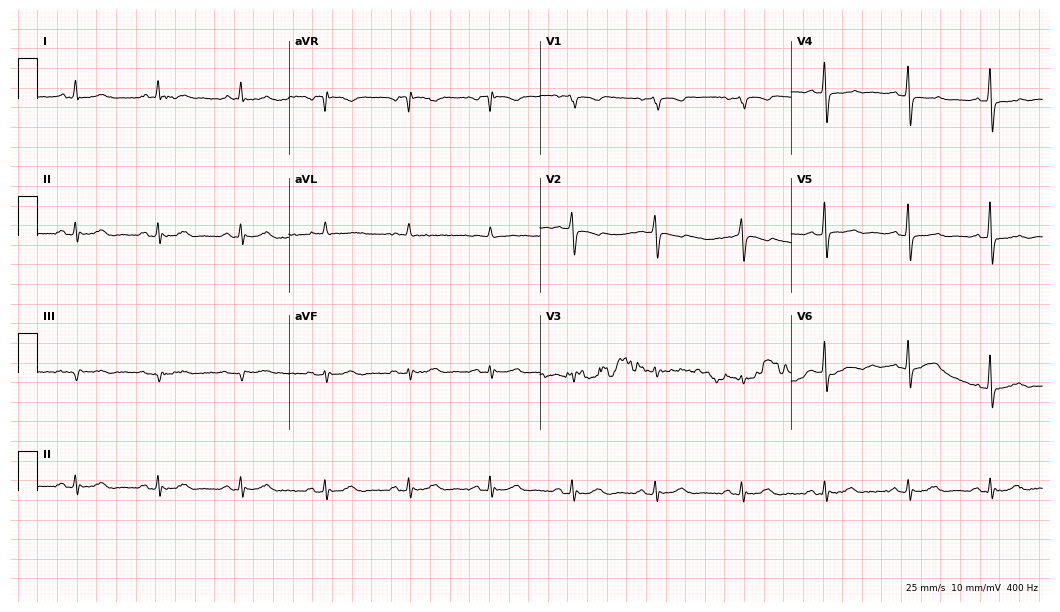
Standard 12-lead ECG recorded from an 80-year-old woman (10.2-second recording at 400 Hz). None of these six findings is recorded: first-degree AV block, right bundle branch block (RBBB), left bundle branch block (LBBB), sinus bradycardia, atrial fibrillation (AF), sinus tachycardia.